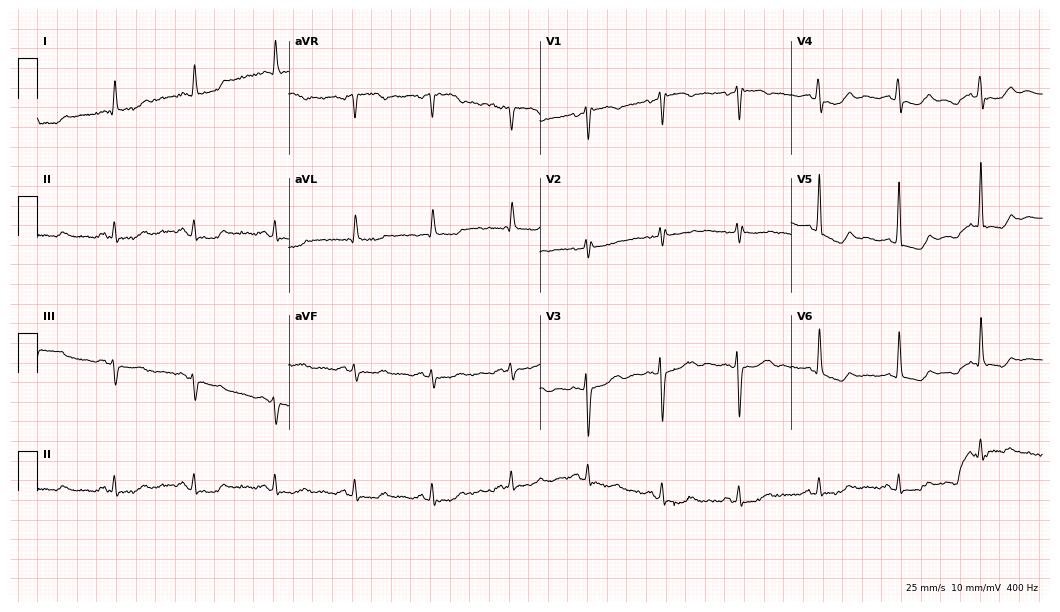
12-lead ECG from a woman, 77 years old. Screened for six findings — first-degree AV block, right bundle branch block, left bundle branch block, sinus bradycardia, atrial fibrillation, sinus tachycardia — none is recorded.